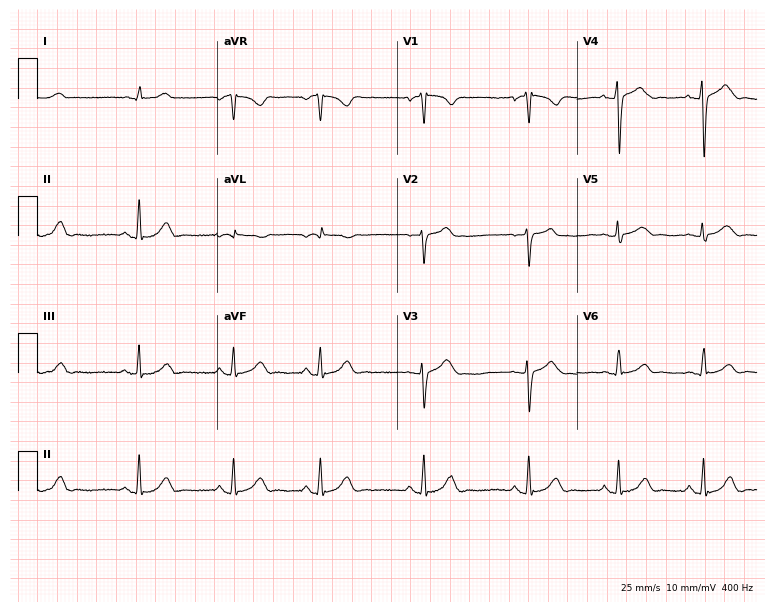
Standard 12-lead ECG recorded from a 21-year-old man (7.3-second recording at 400 Hz). Read as a normal ECG.